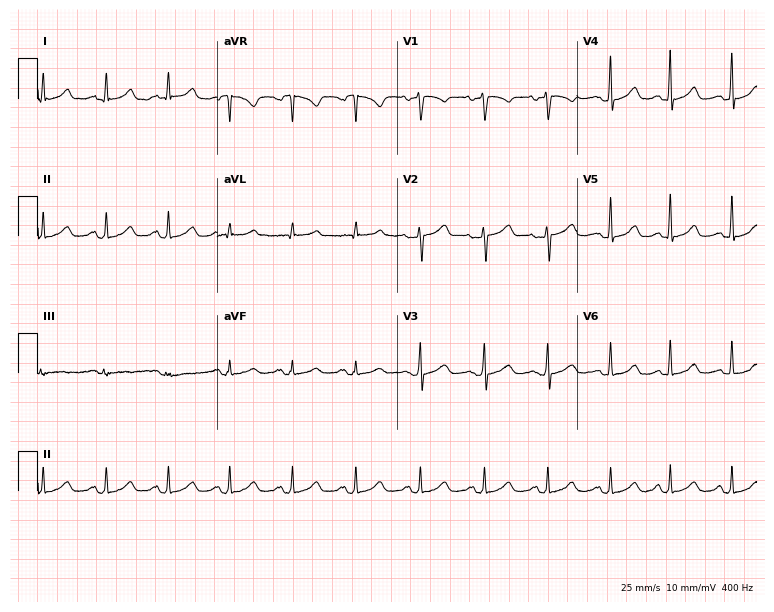
Standard 12-lead ECG recorded from a 50-year-old female patient. Read as a normal ECG.